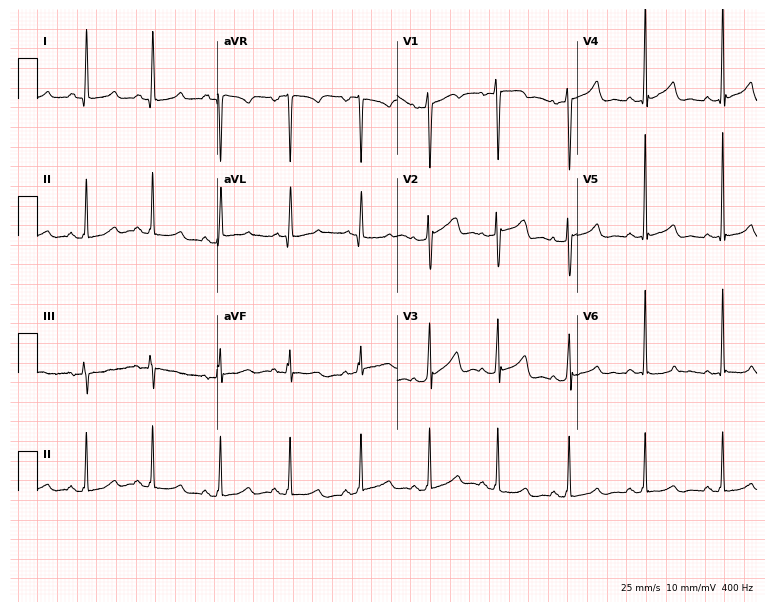
Resting 12-lead electrocardiogram (7.3-second recording at 400 Hz). Patient: a 35-year-old woman. Read as a normal ECG.